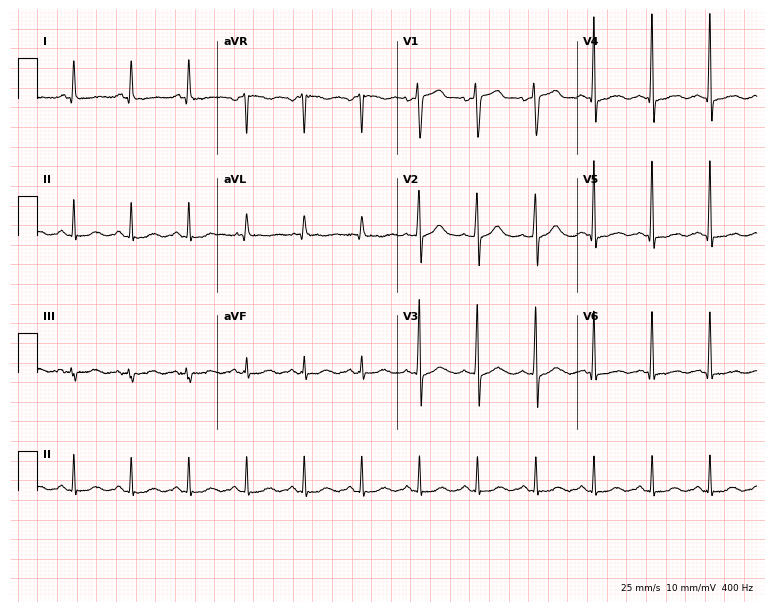
ECG (7.3-second recording at 400 Hz) — a 61-year-old male. Findings include sinus tachycardia (a sinus rate of 100 beats per minute or more).